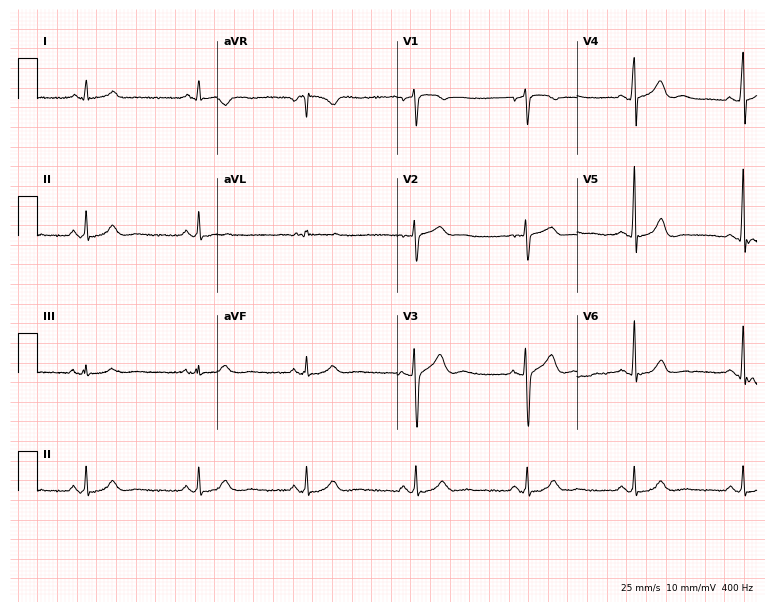
12-lead ECG from a 36-year-old male patient. Labelled as a normal ECG.